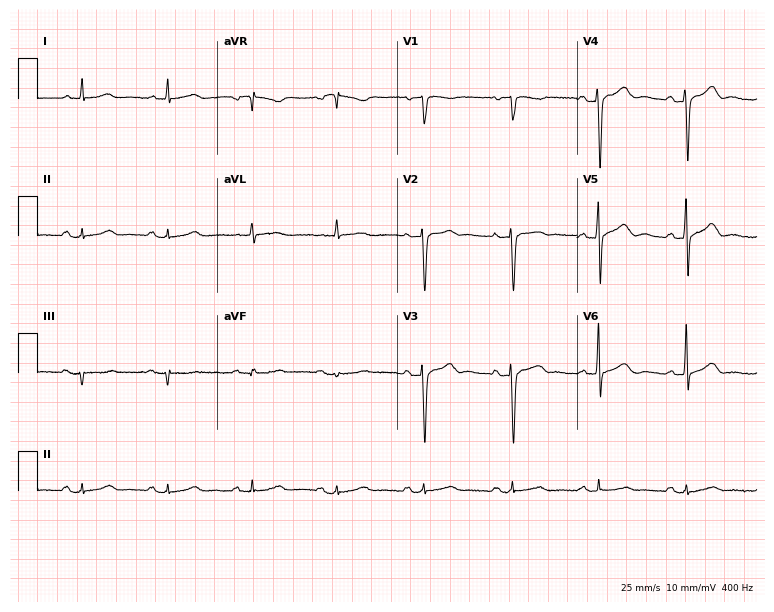
12-lead ECG from a man, 85 years old. Labelled as a normal ECG.